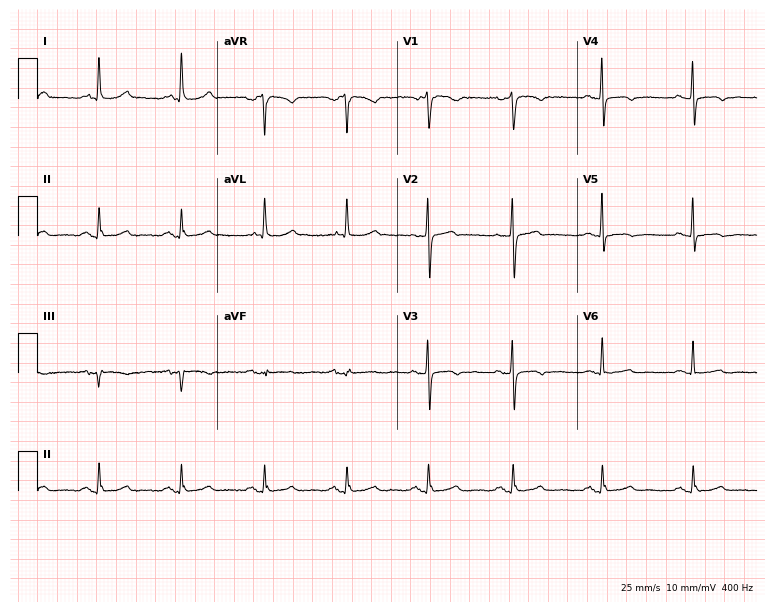
Resting 12-lead electrocardiogram (7.3-second recording at 400 Hz). Patient: a female, 54 years old. Read as a normal ECG.